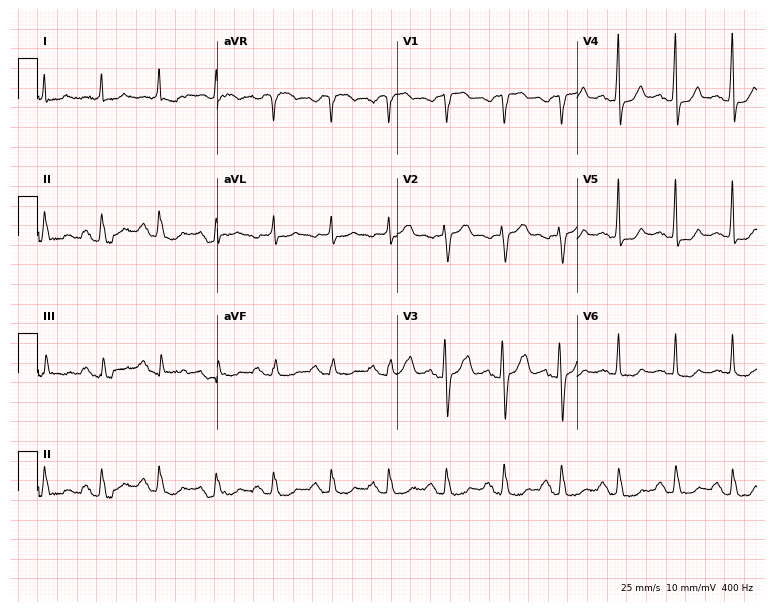
Resting 12-lead electrocardiogram (7.3-second recording at 400 Hz). Patient: a 77-year-old male. The tracing shows sinus tachycardia (a sinus rate of 100 beats per minute or more).